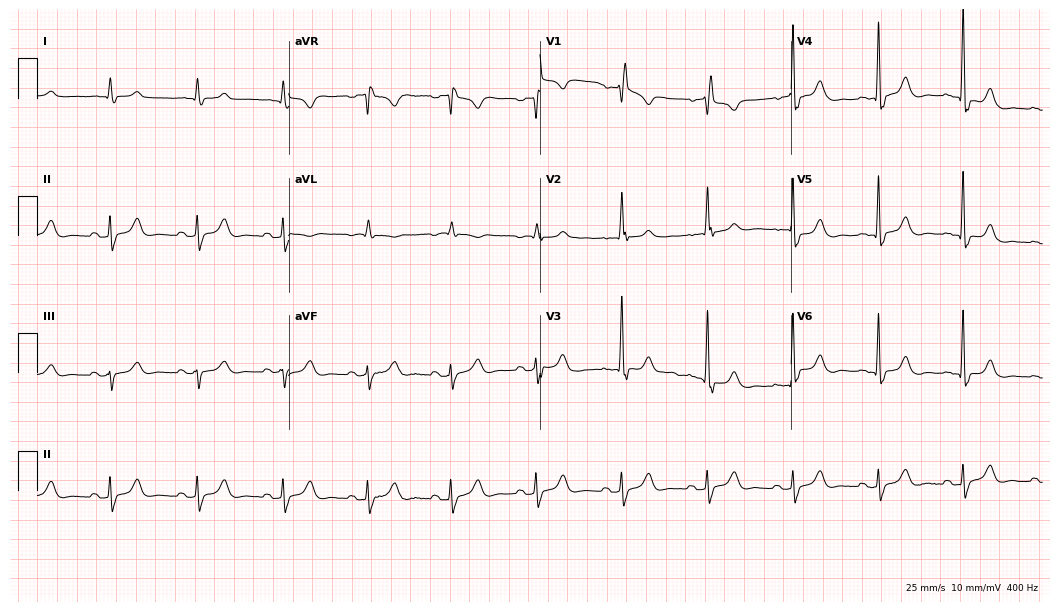
Standard 12-lead ECG recorded from a 55-year-old woman (10.2-second recording at 400 Hz). None of these six findings is recorded: first-degree AV block, right bundle branch block (RBBB), left bundle branch block (LBBB), sinus bradycardia, atrial fibrillation (AF), sinus tachycardia.